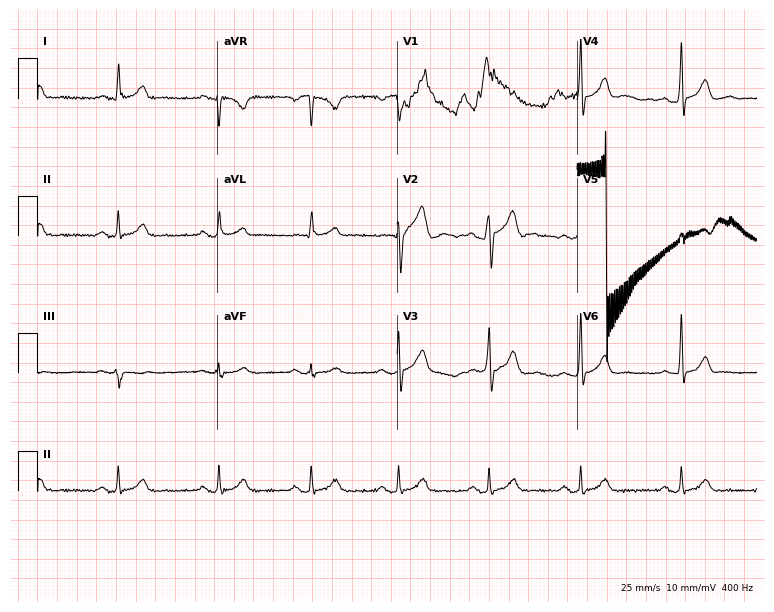
Standard 12-lead ECG recorded from a male, 33 years old (7.3-second recording at 400 Hz). Read as a normal ECG.